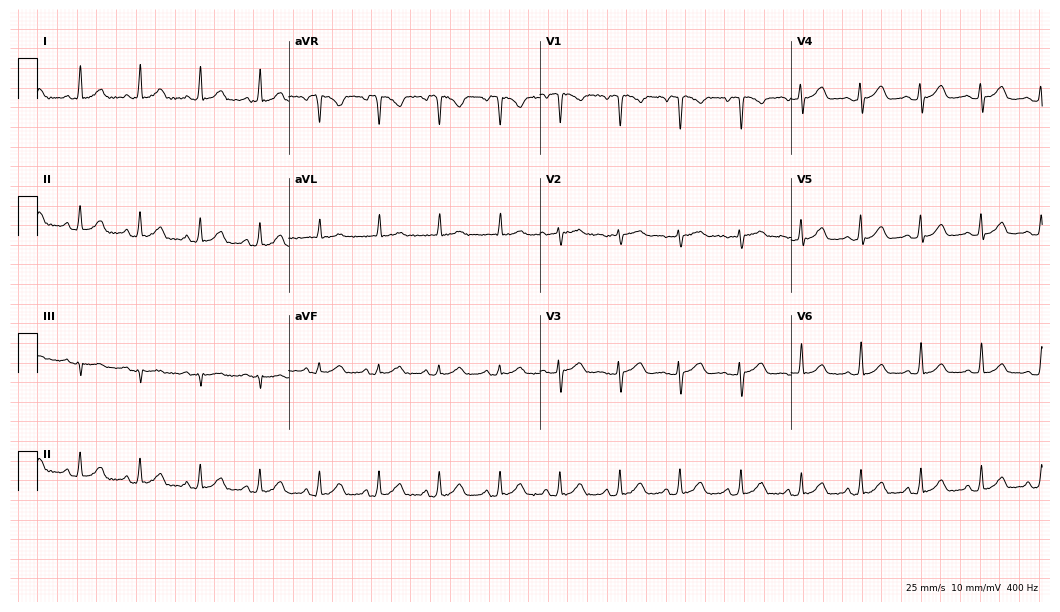
Electrocardiogram, a female, 43 years old. Overall reading on record: normal ECG.